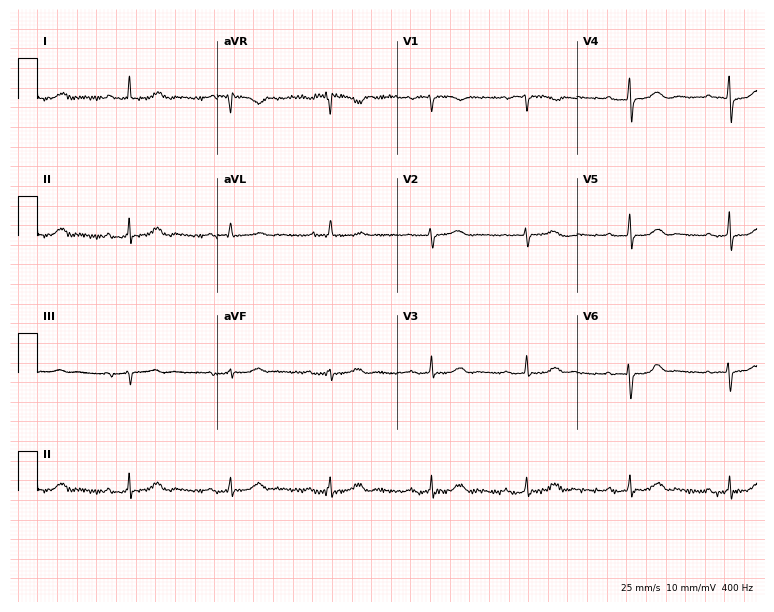
Electrocardiogram, a female, 80 years old. Of the six screened findings (first-degree AV block, right bundle branch block, left bundle branch block, sinus bradycardia, atrial fibrillation, sinus tachycardia), none is recorded.